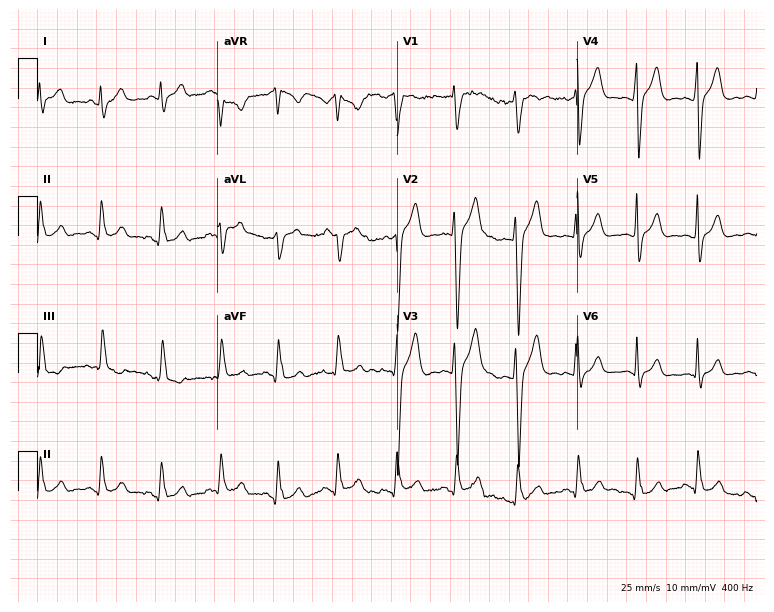
12-lead ECG (7.3-second recording at 400 Hz) from a 25-year-old man. Screened for six findings — first-degree AV block, right bundle branch block, left bundle branch block, sinus bradycardia, atrial fibrillation, sinus tachycardia — none is recorded. Other findings, if any, are not listed.